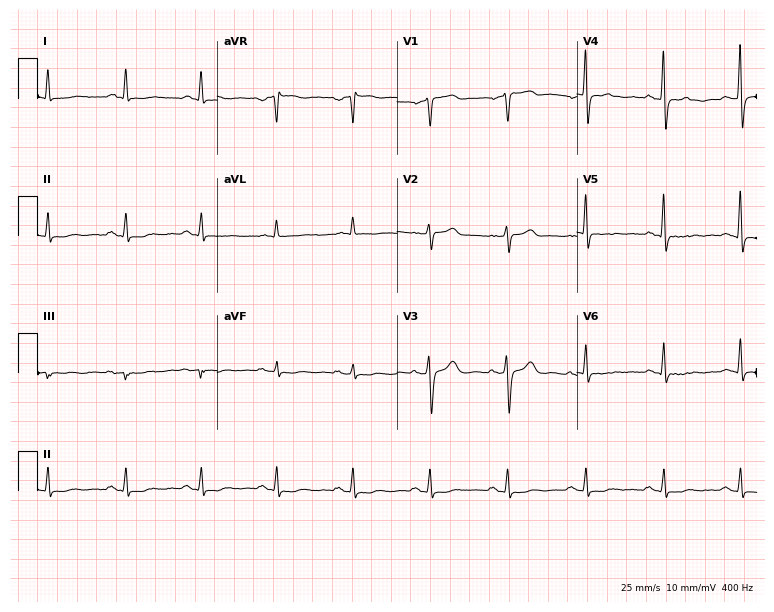
ECG (7.3-second recording at 400 Hz) — a 64-year-old male. Screened for six findings — first-degree AV block, right bundle branch block, left bundle branch block, sinus bradycardia, atrial fibrillation, sinus tachycardia — none is recorded. Other findings, if any, are not listed.